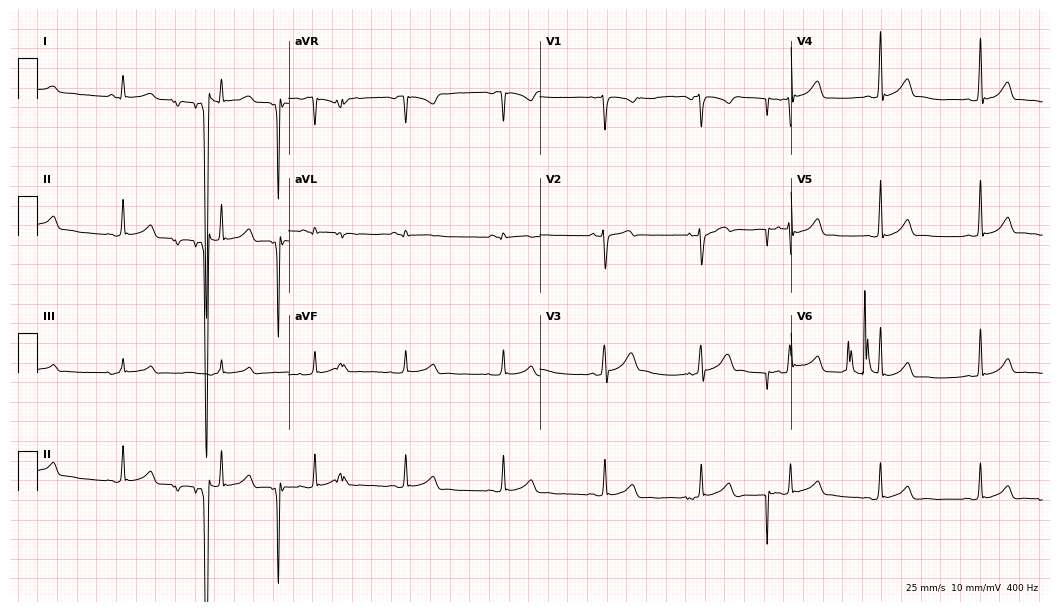
Electrocardiogram, a 23-year-old male patient. Overall reading on record: normal ECG.